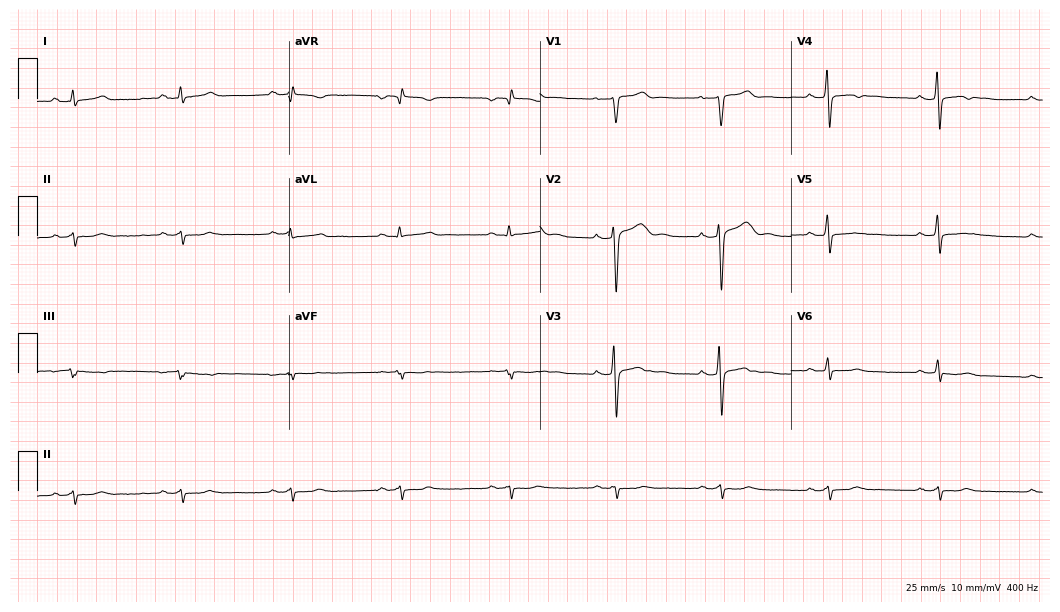
ECG — a 45-year-old male. Screened for six findings — first-degree AV block, right bundle branch block (RBBB), left bundle branch block (LBBB), sinus bradycardia, atrial fibrillation (AF), sinus tachycardia — none is recorded. Findings outside these six are not listed.